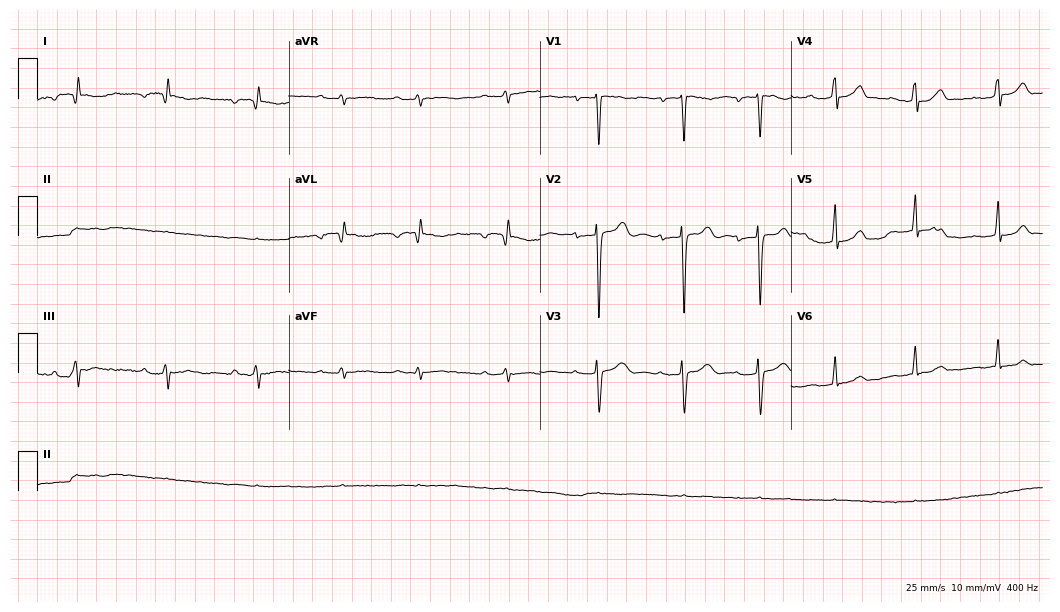
Electrocardiogram, a female, 21 years old. Of the six screened findings (first-degree AV block, right bundle branch block, left bundle branch block, sinus bradycardia, atrial fibrillation, sinus tachycardia), none is recorded.